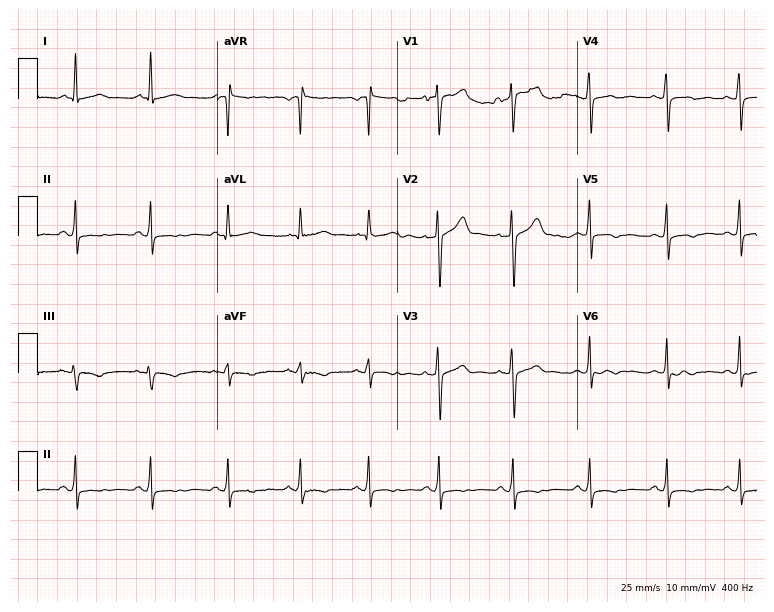
ECG (7.3-second recording at 400 Hz) — a 40-year-old male patient. Screened for six findings — first-degree AV block, right bundle branch block, left bundle branch block, sinus bradycardia, atrial fibrillation, sinus tachycardia — none is recorded.